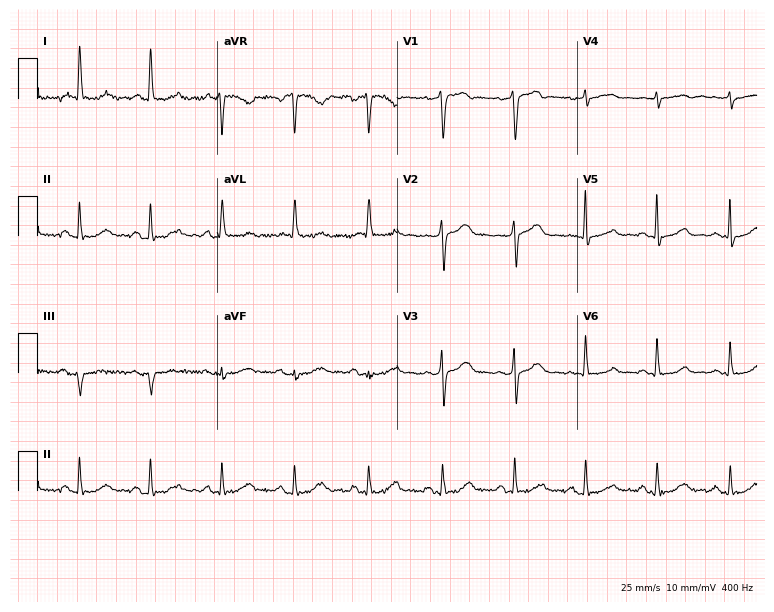
12-lead ECG from a female patient, 75 years old (7.3-second recording at 400 Hz). No first-degree AV block, right bundle branch block, left bundle branch block, sinus bradycardia, atrial fibrillation or sinus tachycardia recorded for this tracing. Findings outside these six are not listed.